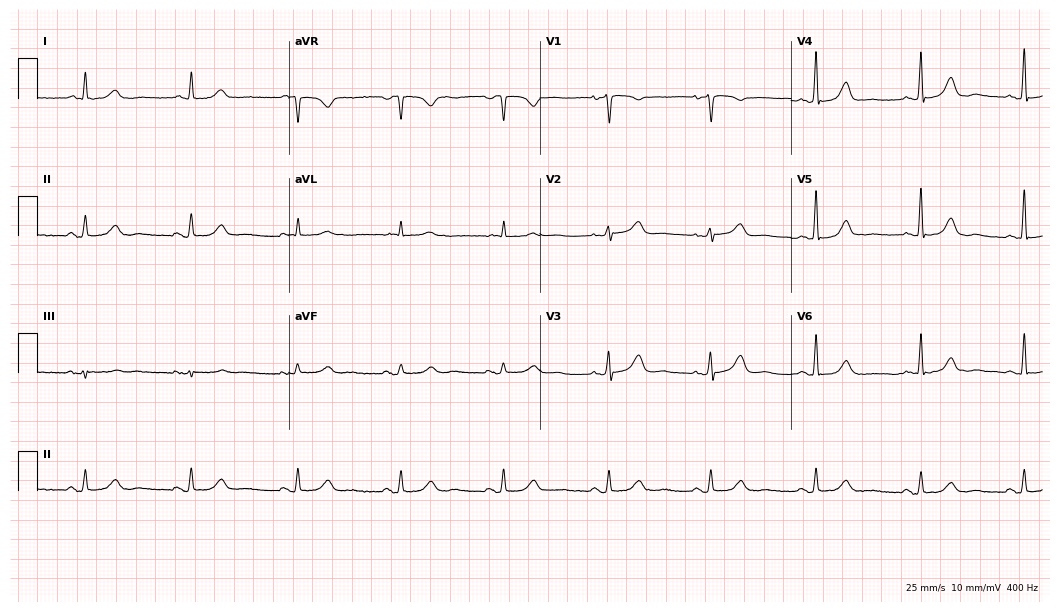
12-lead ECG from a 61-year-old female. Labelled as a normal ECG.